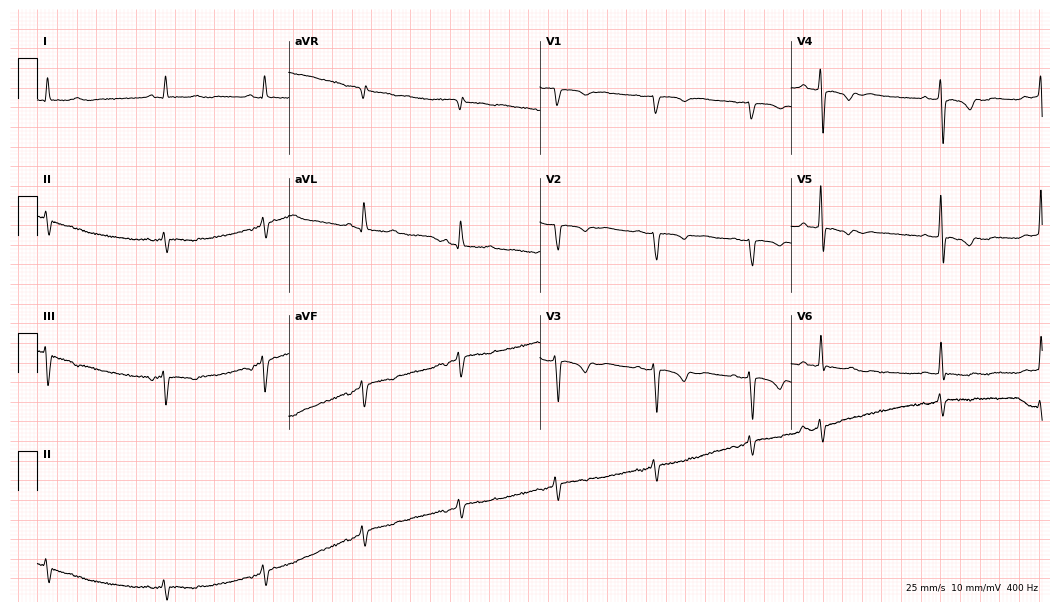
Standard 12-lead ECG recorded from an 84-year-old female (10.2-second recording at 400 Hz). None of these six findings is recorded: first-degree AV block, right bundle branch block, left bundle branch block, sinus bradycardia, atrial fibrillation, sinus tachycardia.